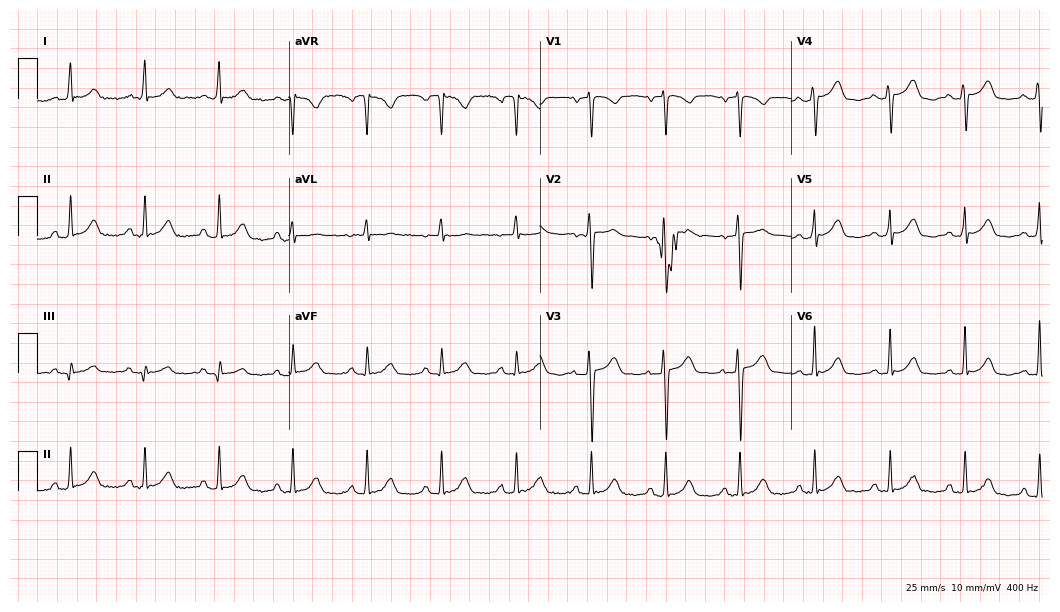
Electrocardiogram (10.2-second recording at 400 Hz), a female patient, 77 years old. Overall reading on record: normal ECG.